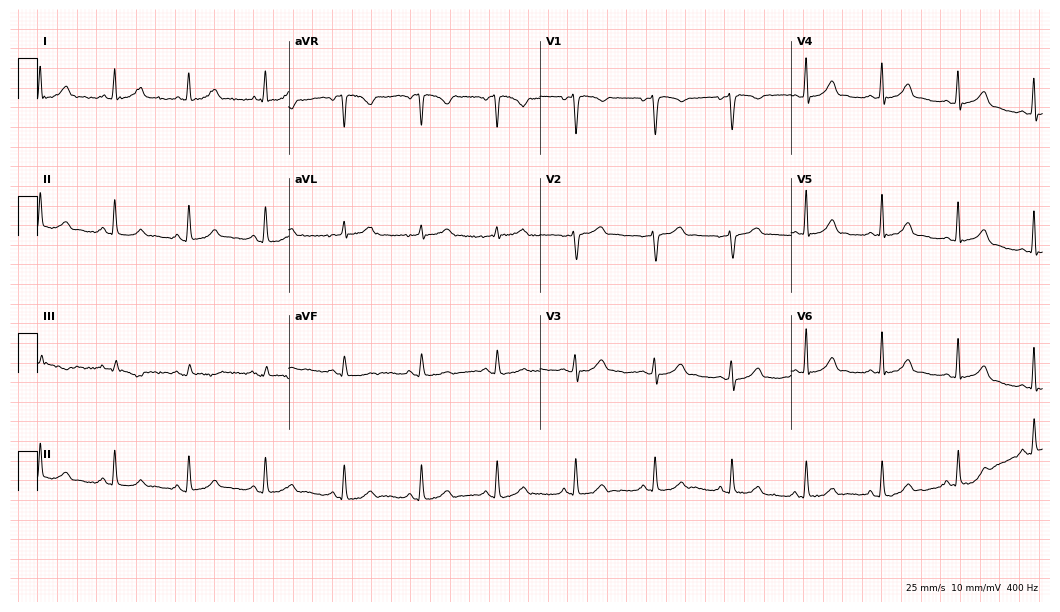
12-lead ECG (10.2-second recording at 400 Hz) from a female, 33 years old. Labelled as a normal ECG.